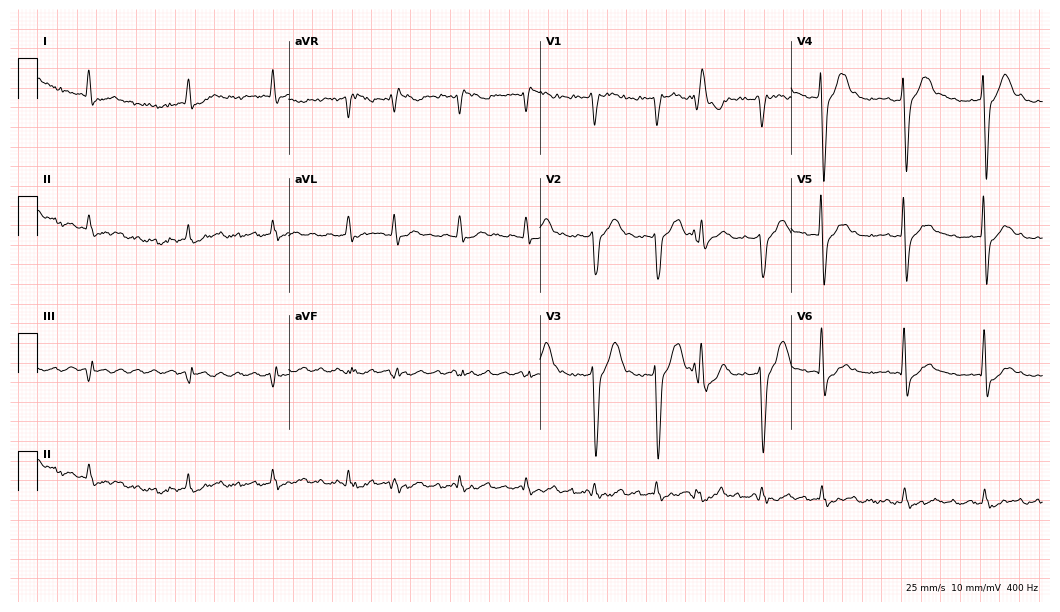
12-lead ECG from a male, 75 years old. Shows left bundle branch block (LBBB).